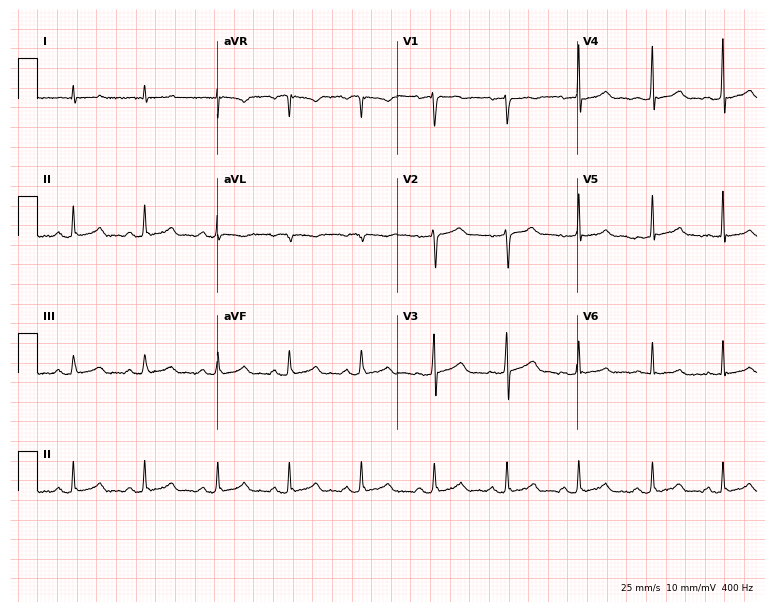
12-lead ECG from a man, 49 years old. Recorded interpretation: within normal limits.